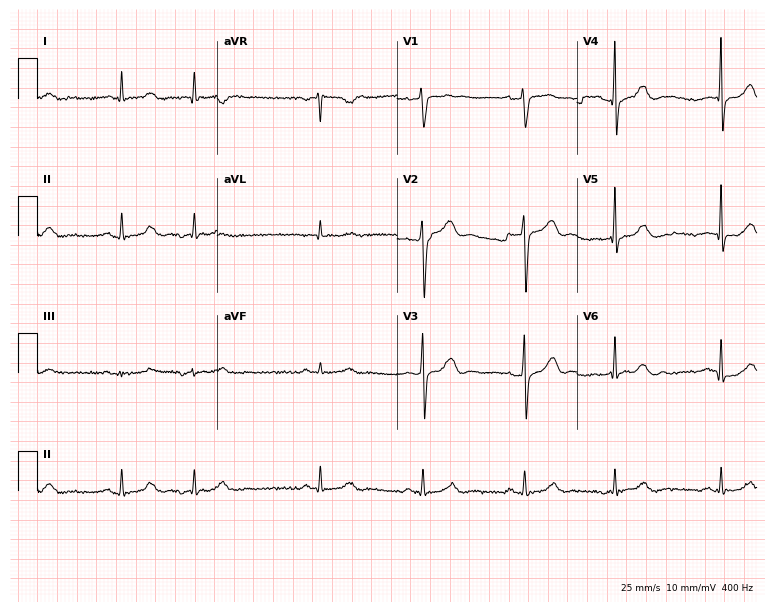
Electrocardiogram, a man, 66 years old. Overall reading on record: normal ECG.